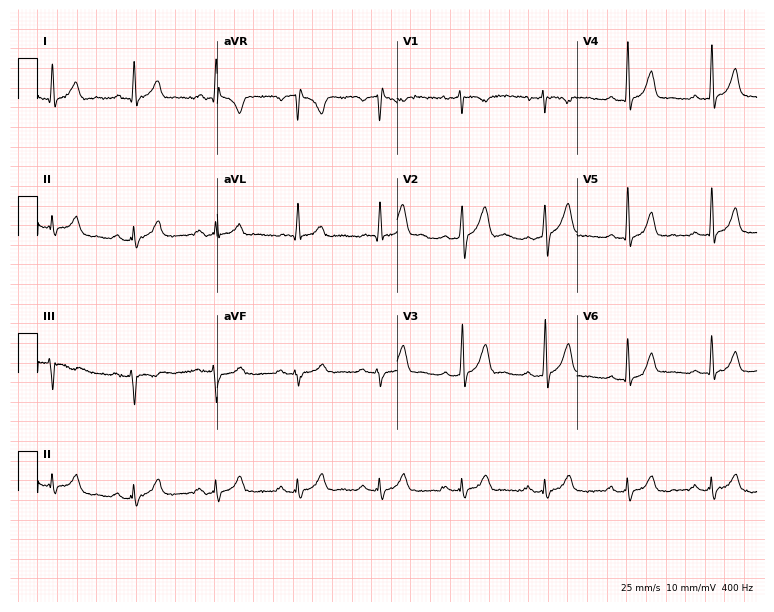
Standard 12-lead ECG recorded from a male, 60 years old (7.3-second recording at 400 Hz). None of these six findings is recorded: first-degree AV block, right bundle branch block, left bundle branch block, sinus bradycardia, atrial fibrillation, sinus tachycardia.